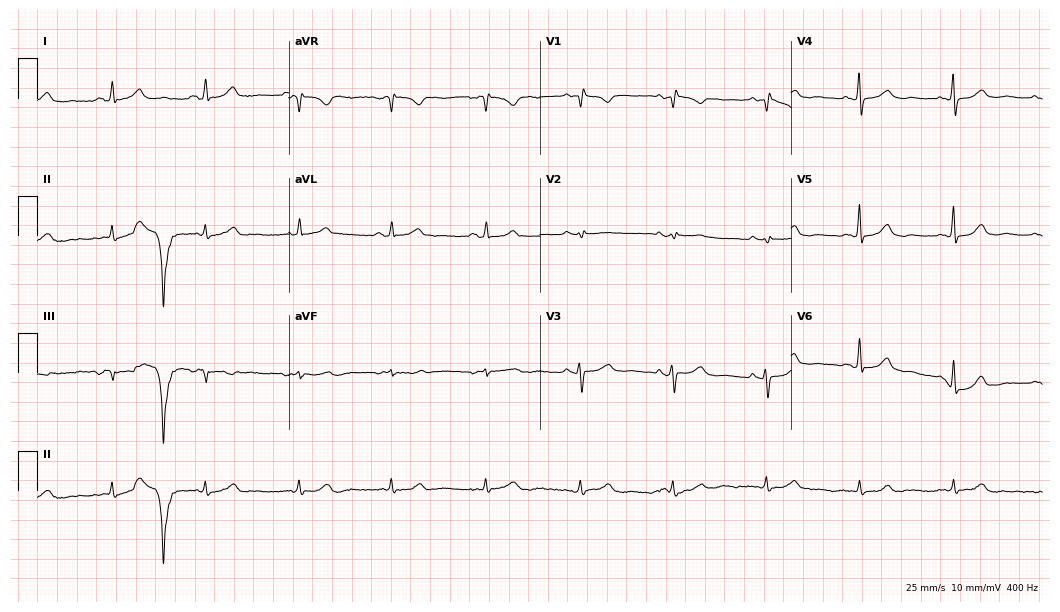
Standard 12-lead ECG recorded from a 72-year-old female patient (10.2-second recording at 400 Hz). None of these six findings is recorded: first-degree AV block, right bundle branch block, left bundle branch block, sinus bradycardia, atrial fibrillation, sinus tachycardia. Other findings, if any, are not listed.